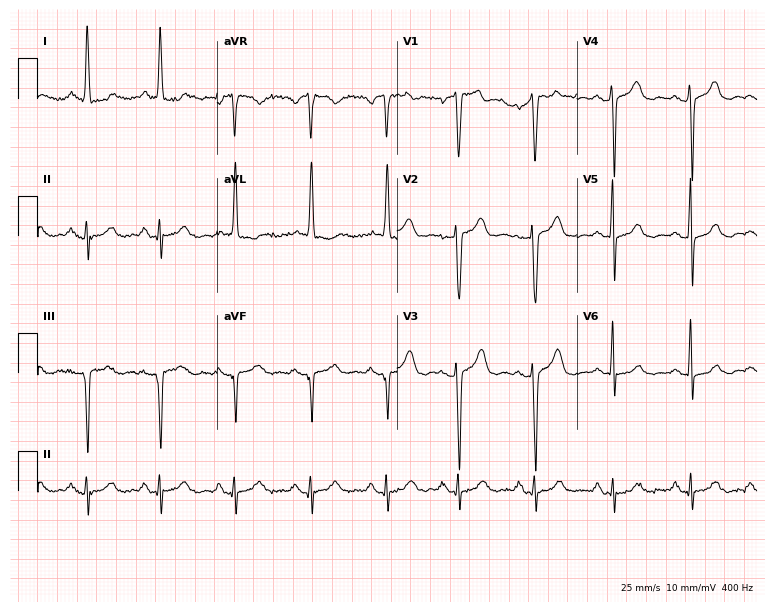
Electrocardiogram, a female patient, 52 years old. Of the six screened findings (first-degree AV block, right bundle branch block, left bundle branch block, sinus bradycardia, atrial fibrillation, sinus tachycardia), none is recorded.